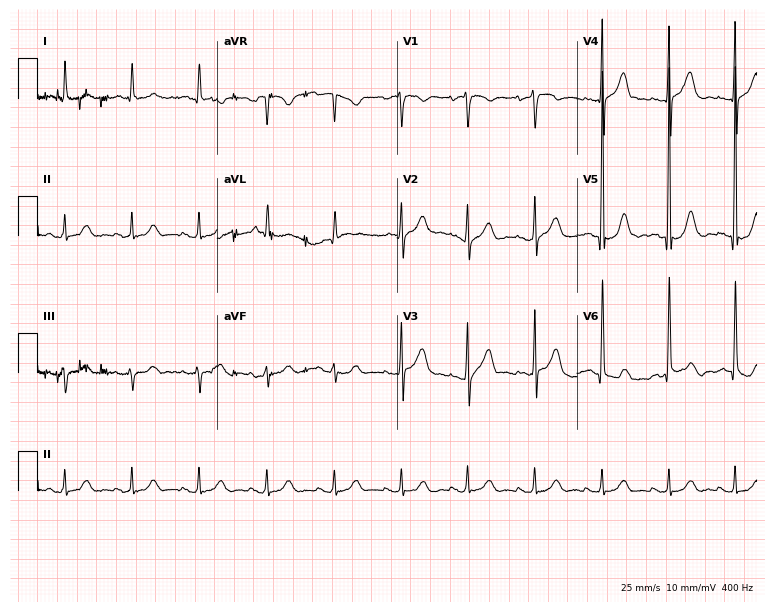
12-lead ECG (7.3-second recording at 400 Hz) from a 68-year-old man. Labelled as a normal ECG.